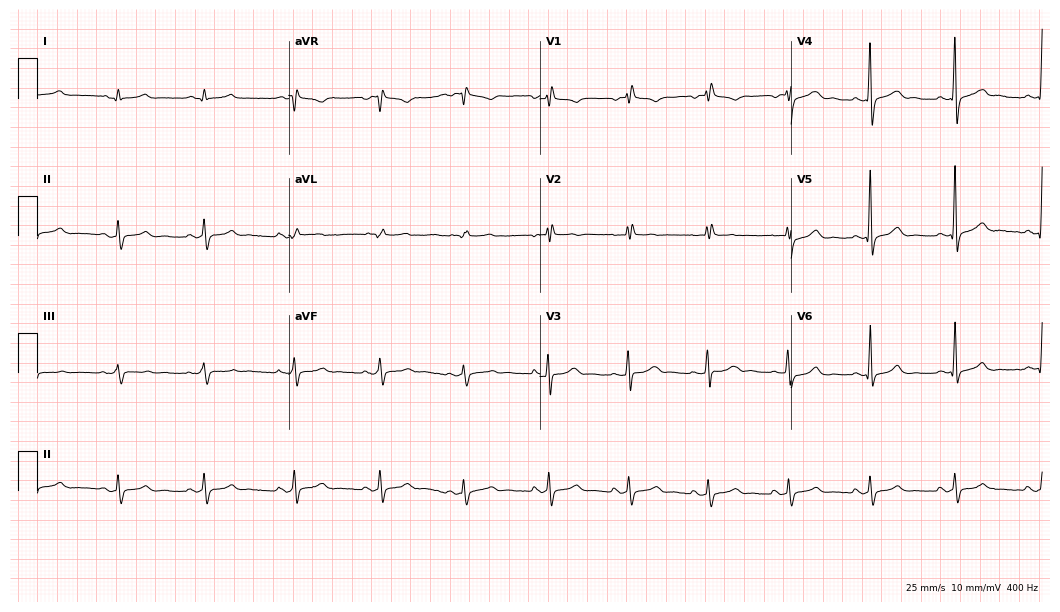
Electrocardiogram, a man, 36 years old. Of the six screened findings (first-degree AV block, right bundle branch block (RBBB), left bundle branch block (LBBB), sinus bradycardia, atrial fibrillation (AF), sinus tachycardia), none is recorded.